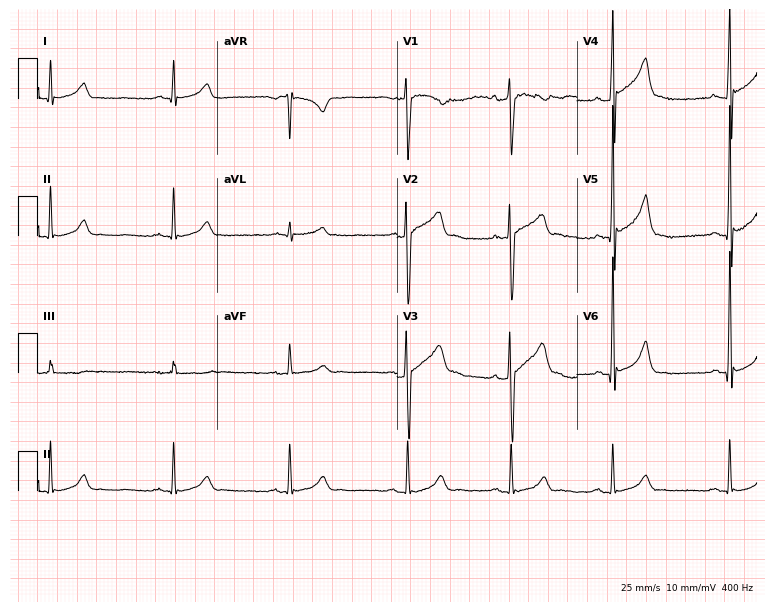
Electrocardiogram, a 35-year-old man. Of the six screened findings (first-degree AV block, right bundle branch block, left bundle branch block, sinus bradycardia, atrial fibrillation, sinus tachycardia), none is recorded.